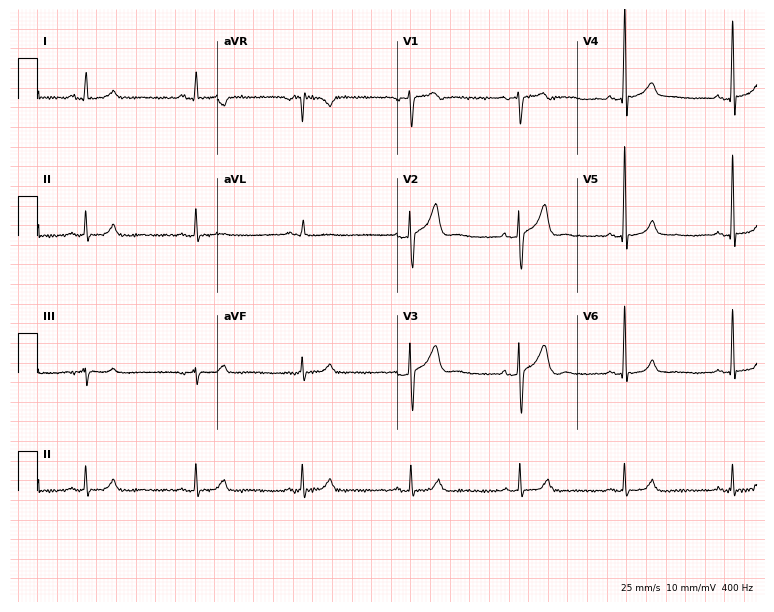
ECG — a man, 45 years old. Screened for six findings — first-degree AV block, right bundle branch block, left bundle branch block, sinus bradycardia, atrial fibrillation, sinus tachycardia — none is recorded.